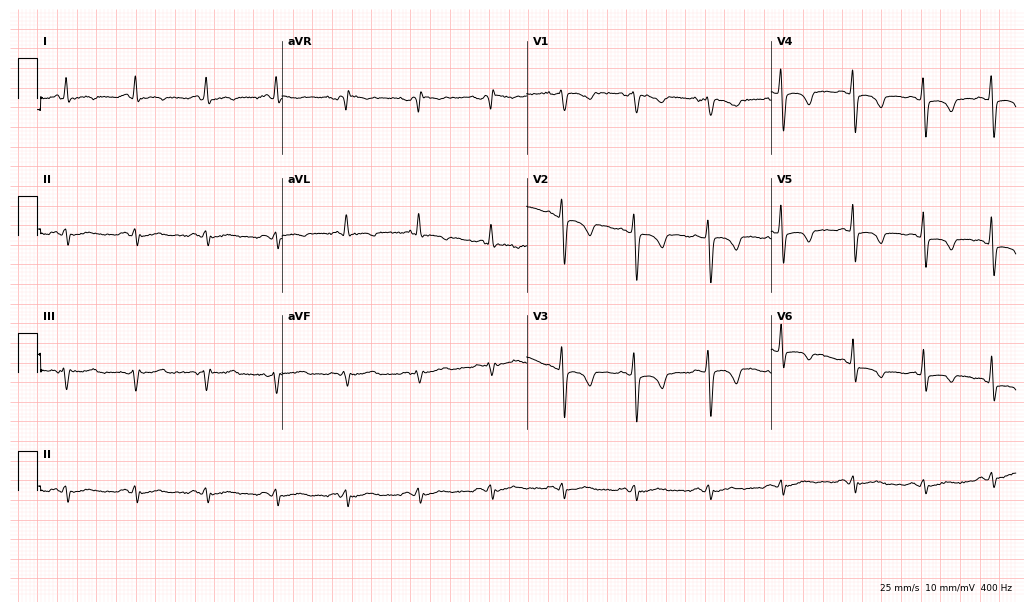
Resting 12-lead electrocardiogram. Patient: a 33-year-old woman. None of these six findings is recorded: first-degree AV block, right bundle branch block, left bundle branch block, sinus bradycardia, atrial fibrillation, sinus tachycardia. Other findings, if any, are not listed.